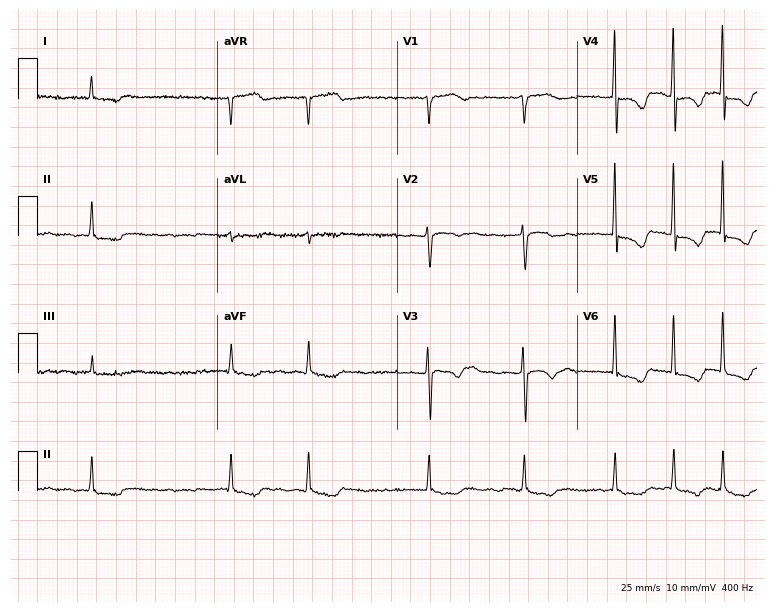
ECG — a 75-year-old female patient. Findings include atrial fibrillation.